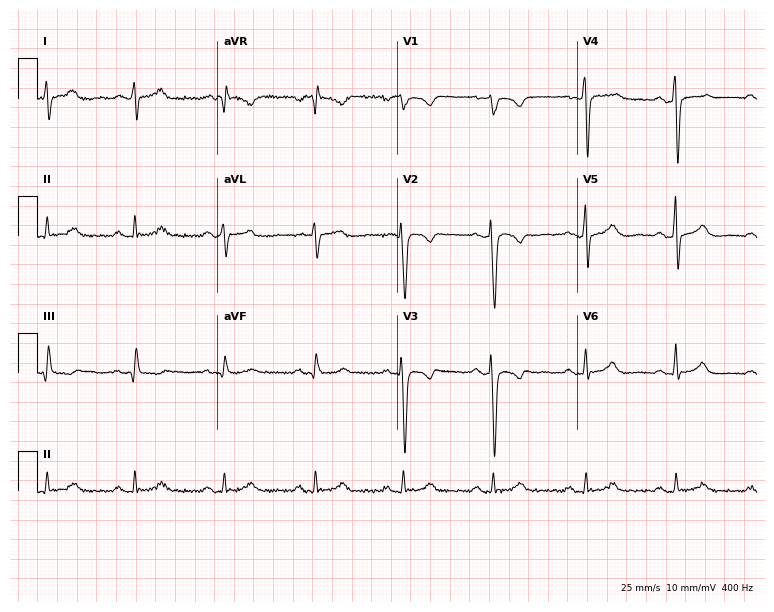
Standard 12-lead ECG recorded from a male patient, 60 years old. None of these six findings is recorded: first-degree AV block, right bundle branch block (RBBB), left bundle branch block (LBBB), sinus bradycardia, atrial fibrillation (AF), sinus tachycardia.